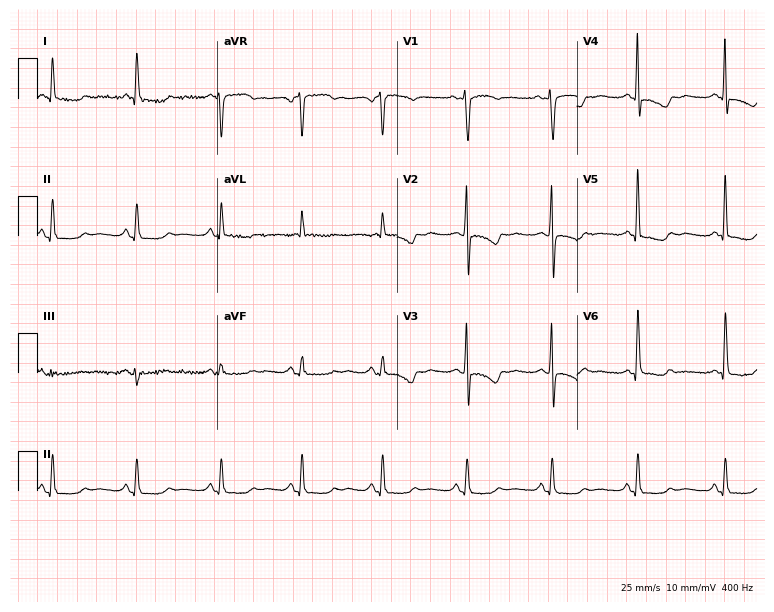
Resting 12-lead electrocardiogram (7.3-second recording at 400 Hz). Patient: a 53-year-old woman. None of these six findings is recorded: first-degree AV block, right bundle branch block, left bundle branch block, sinus bradycardia, atrial fibrillation, sinus tachycardia. Other findings, if any, are not listed.